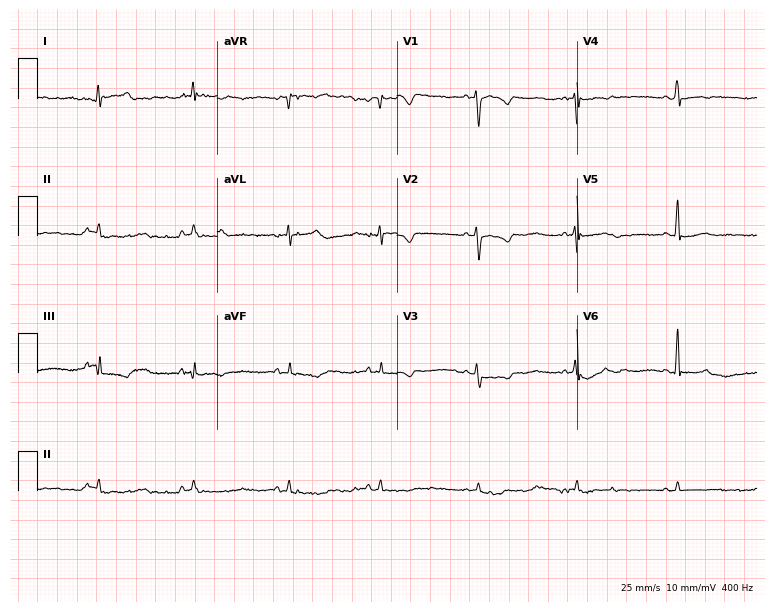
ECG — a 54-year-old female. Screened for six findings — first-degree AV block, right bundle branch block, left bundle branch block, sinus bradycardia, atrial fibrillation, sinus tachycardia — none is recorded.